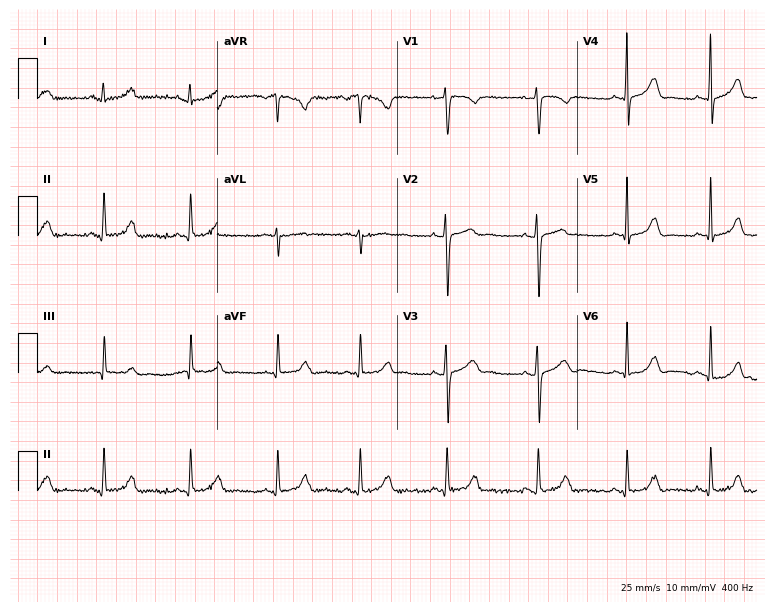
Standard 12-lead ECG recorded from a 35-year-old woman (7.3-second recording at 400 Hz). Read as a normal ECG.